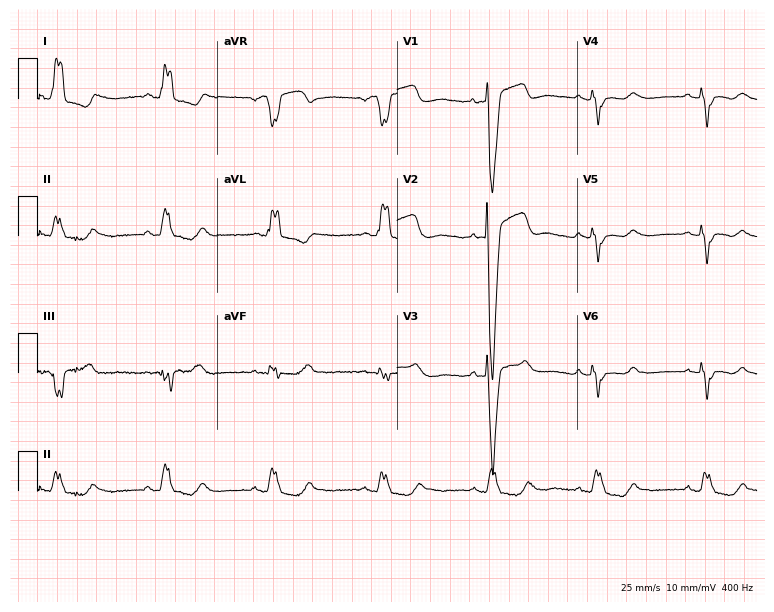
12-lead ECG from an 81-year-old female patient (7.3-second recording at 400 Hz). Shows left bundle branch block.